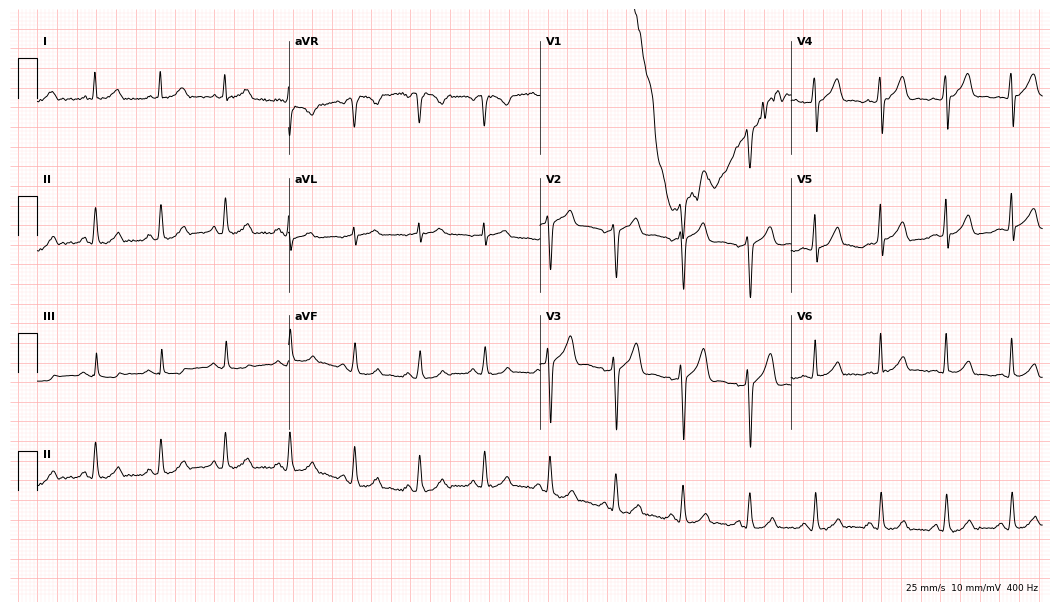
ECG (10.2-second recording at 400 Hz) — a 31-year-old man. Labelled as a normal ECG.